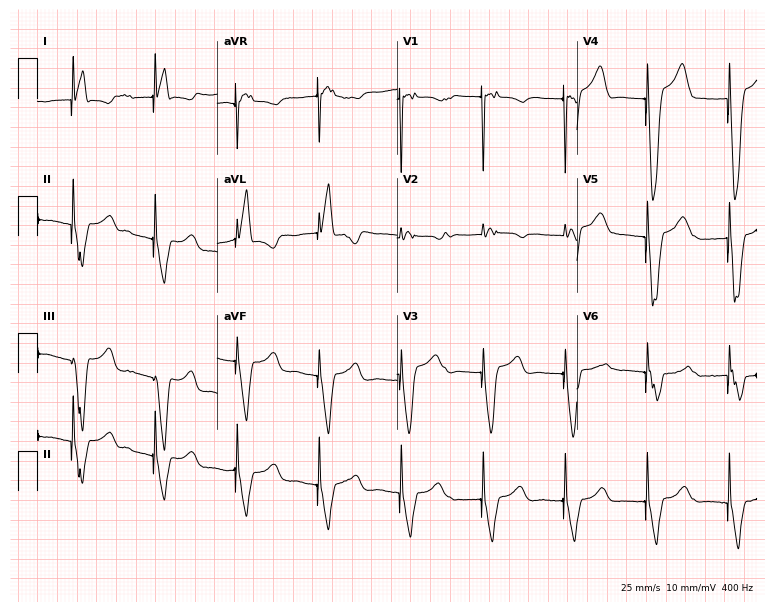
12-lead ECG (7.3-second recording at 400 Hz) from a 53-year-old man. Screened for six findings — first-degree AV block, right bundle branch block (RBBB), left bundle branch block (LBBB), sinus bradycardia, atrial fibrillation (AF), sinus tachycardia — none is recorded. Only these six findings were labelled.